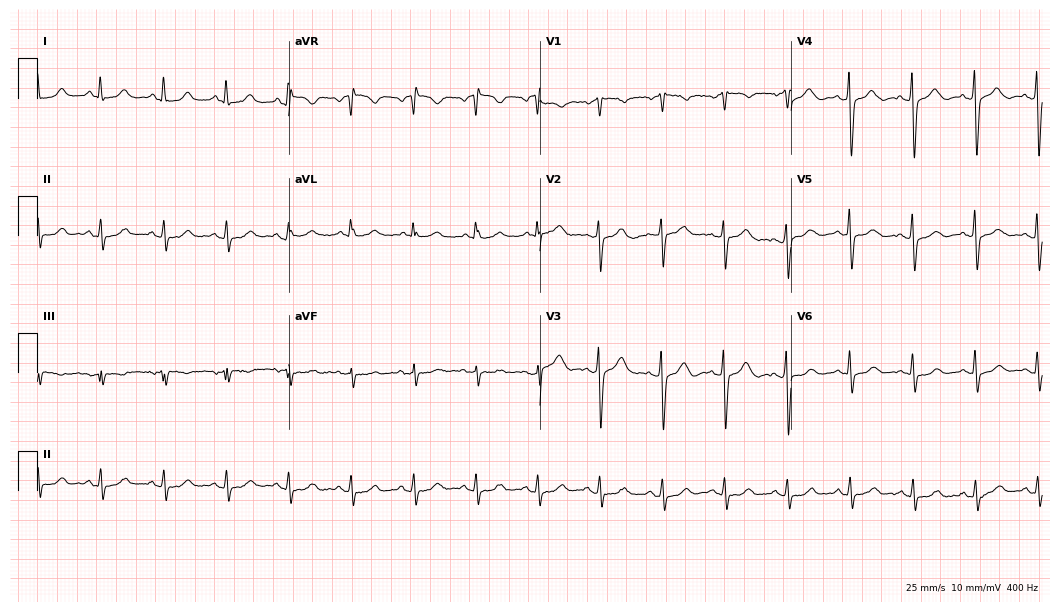
Electrocardiogram, a 52-year-old woman. Of the six screened findings (first-degree AV block, right bundle branch block, left bundle branch block, sinus bradycardia, atrial fibrillation, sinus tachycardia), none is recorded. Other findings, if any, are not listed.